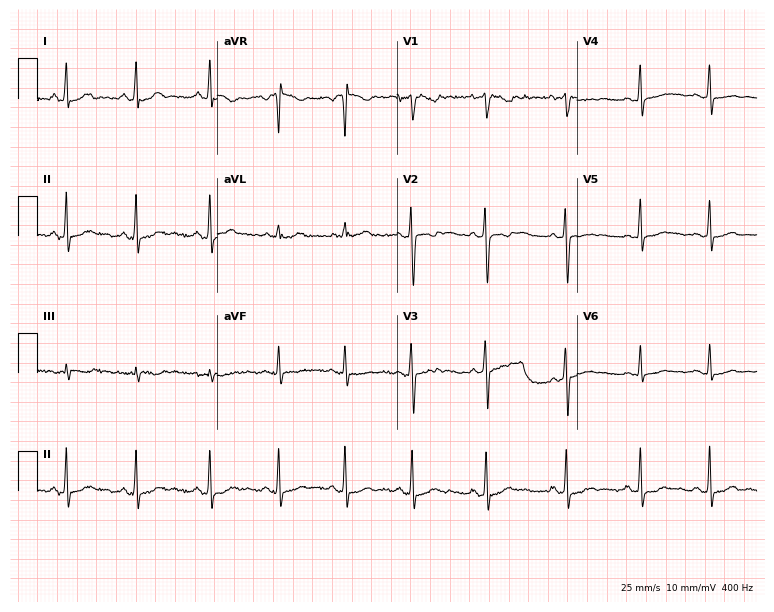
ECG (7.3-second recording at 400 Hz) — a 22-year-old female. Labelled as a normal ECG.